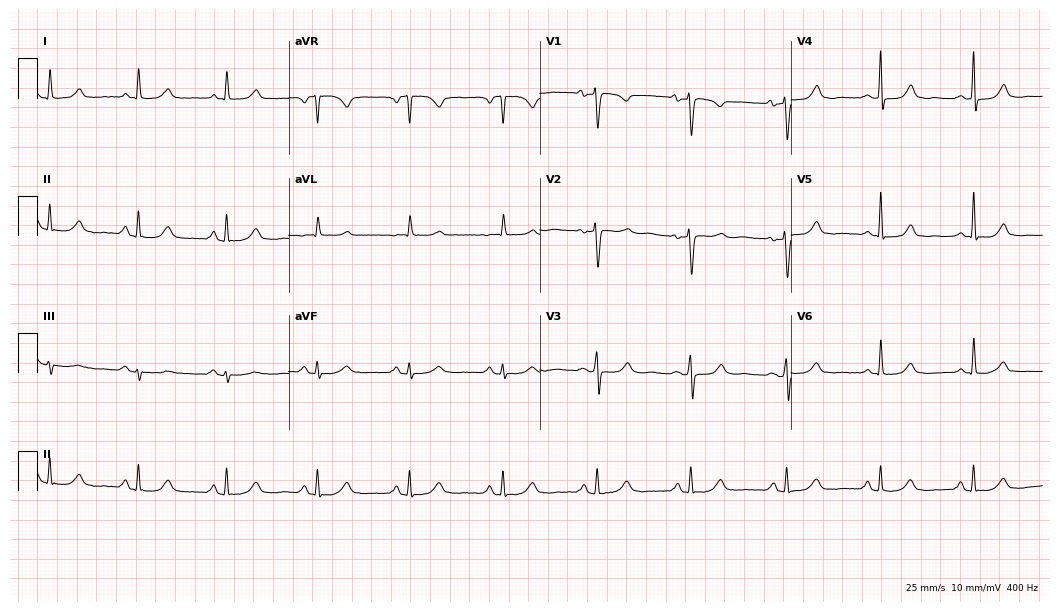
Electrocardiogram, a 76-year-old female patient. Of the six screened findings (first-degree AV block, right bundle branch block, left bundle branch block, sinus bradycardia, atrial fibrillation, sinus tachycardia), none is recorded.